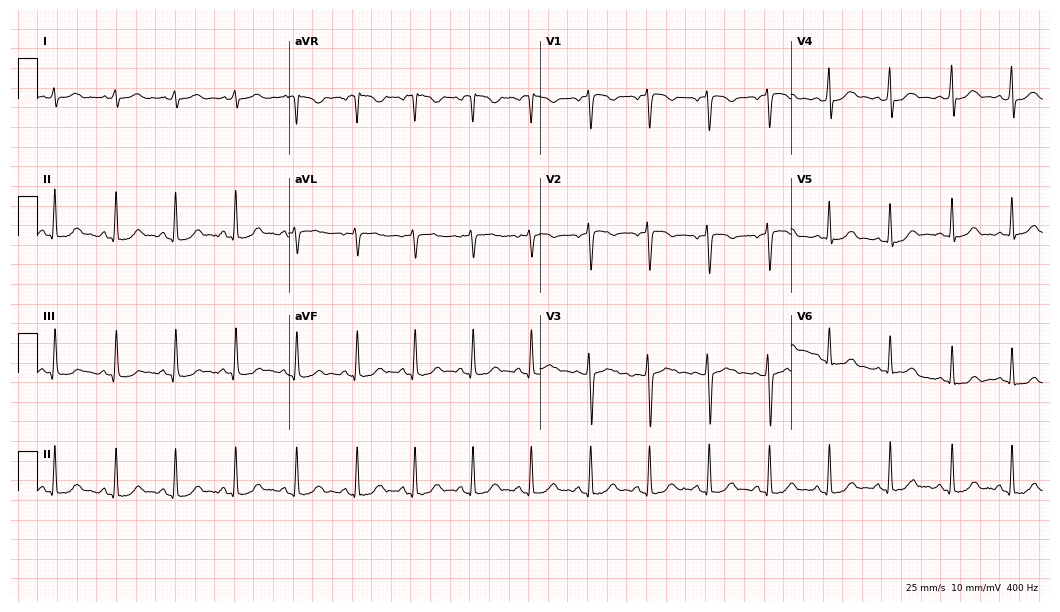
ECG (10.2-second recording at 400 Hz) — a woman, 19 years old. Labelled as a normal ECG.